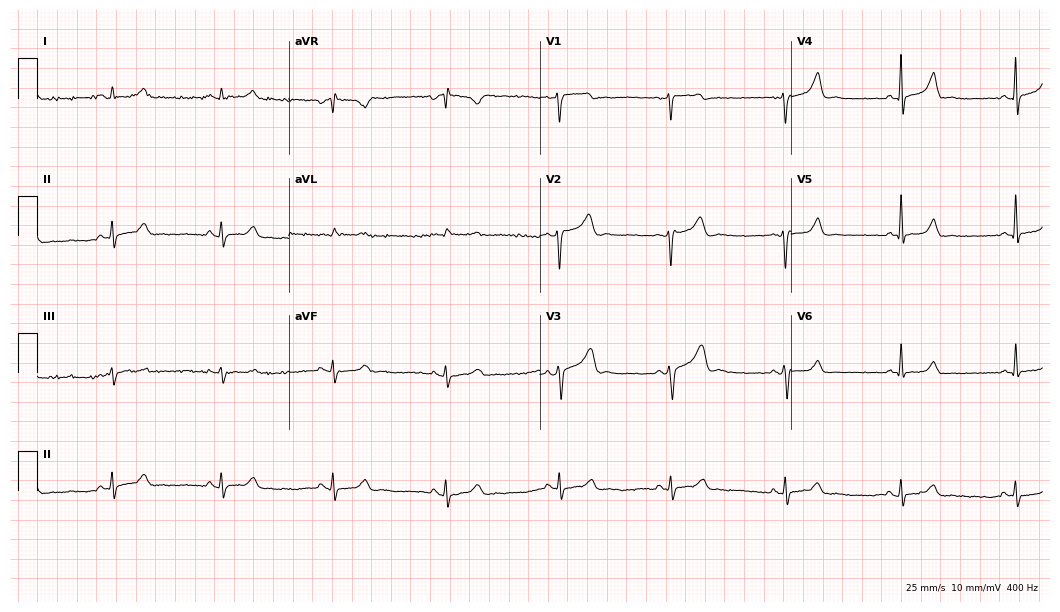
12-lead ECG from a 65-year-old man (10.2-second recording at 400 Hz). Recorded interpretation: within normal limits.